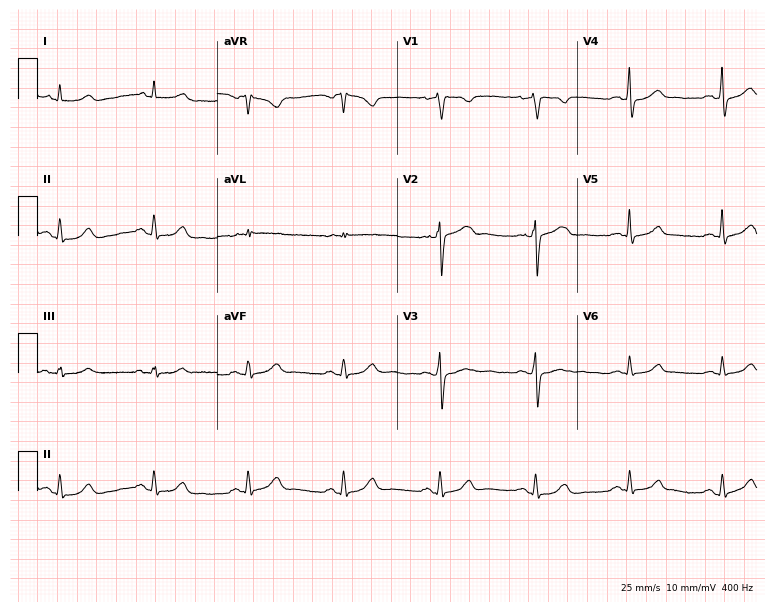
12-lead ECG from a man, 69 years old. Labelled as a normal ECG.